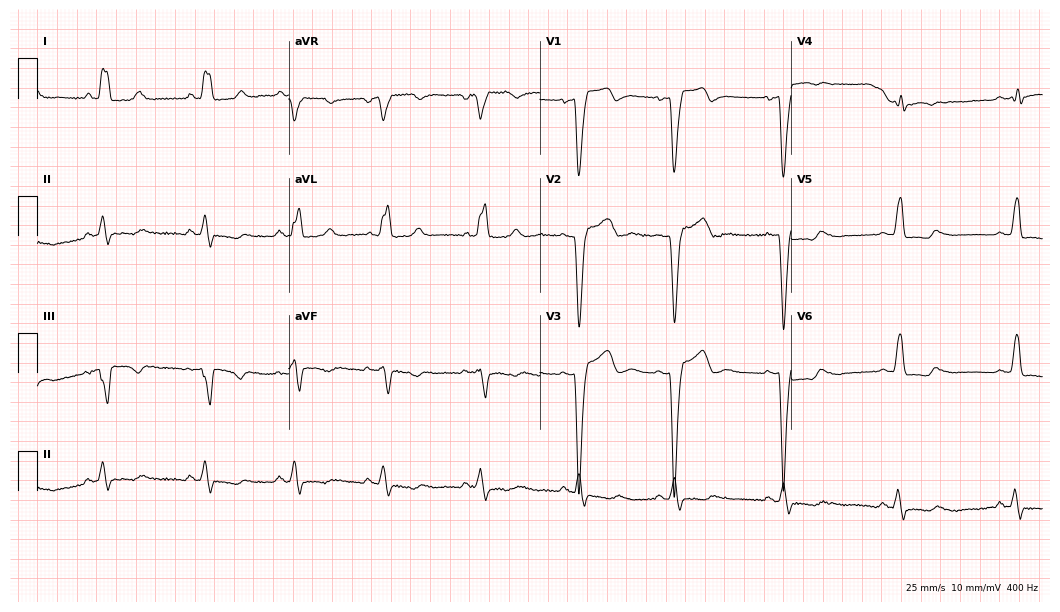
12-lead ECG from a 47-year-old woman (10.2-second recording at 400 Hz). Shows left bundle branch block.